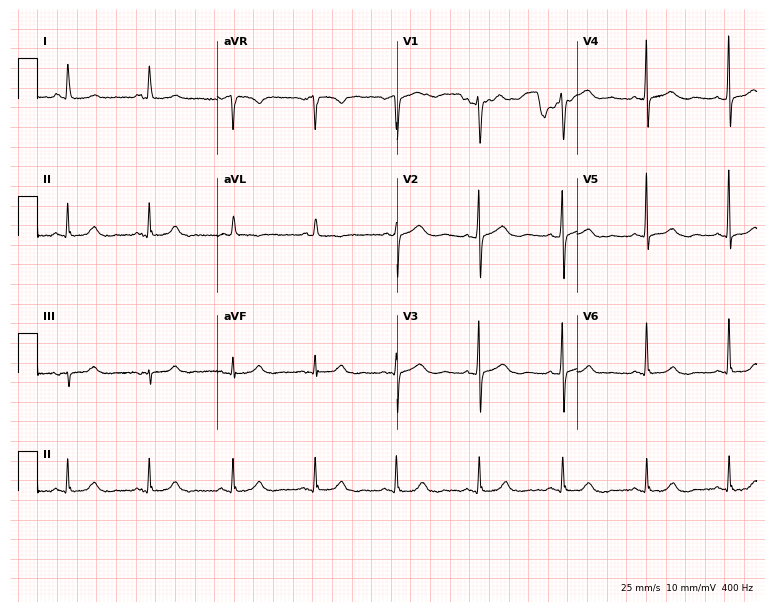
12-lead ECG from a 71-year-old male. Screened for six findings — first-degree AV block, right bundle branch block (RBBB), left bundle branch block (LBBB), sinus bradycardia, atrial fibrillation (AF), sinus tachycardia — none is recorded.